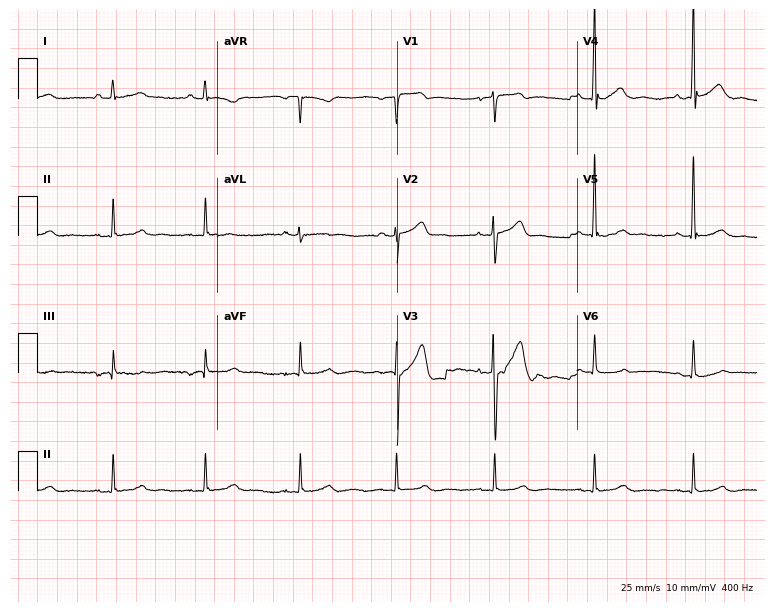
ECG — a male, 75 years old. Screened for six findings — first-degree AV block, right bundle branch block (RBBB), left bundle branch block (LBBB), sinus bradycardia, atrial fibrillation (AF), sinus tachycardia — none is recorded.